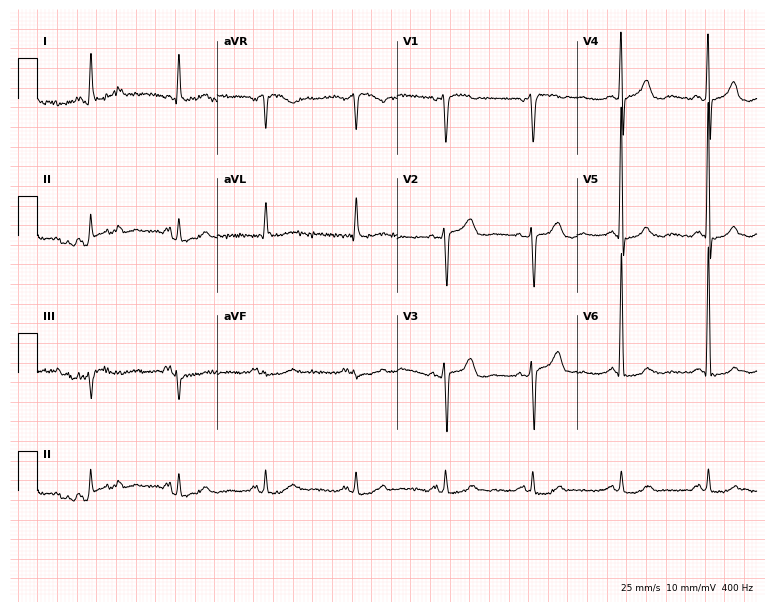
ECG (7.3-second recording at 400 Hz) — an 81-year-old male patient. Screened for six findings — first-degree AV block, right bundle branch block, left bundle branch block, sinus bradycardia, atrial fibrillation, sinus tachycardia — none is recorded.